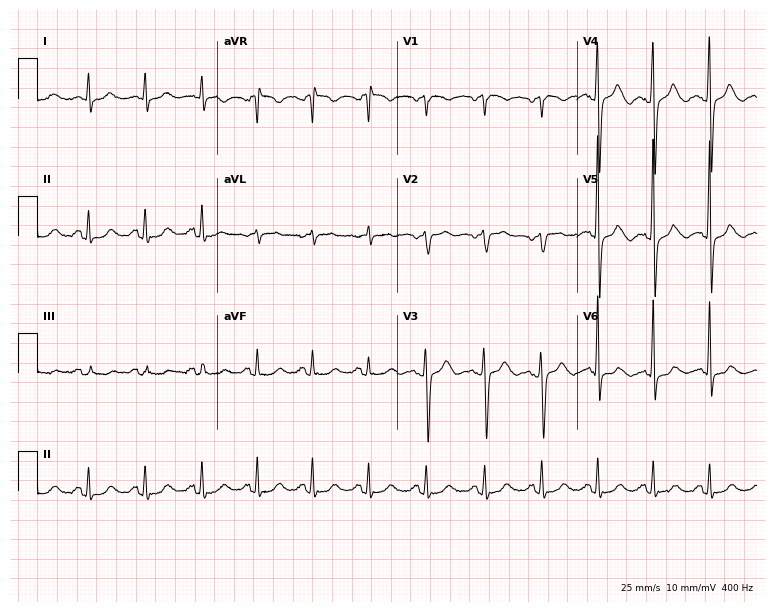
Electrocardiogram (7.3-second recording at 400 Hz), a 73-year-old female. Overall reading on record: normal ECG.